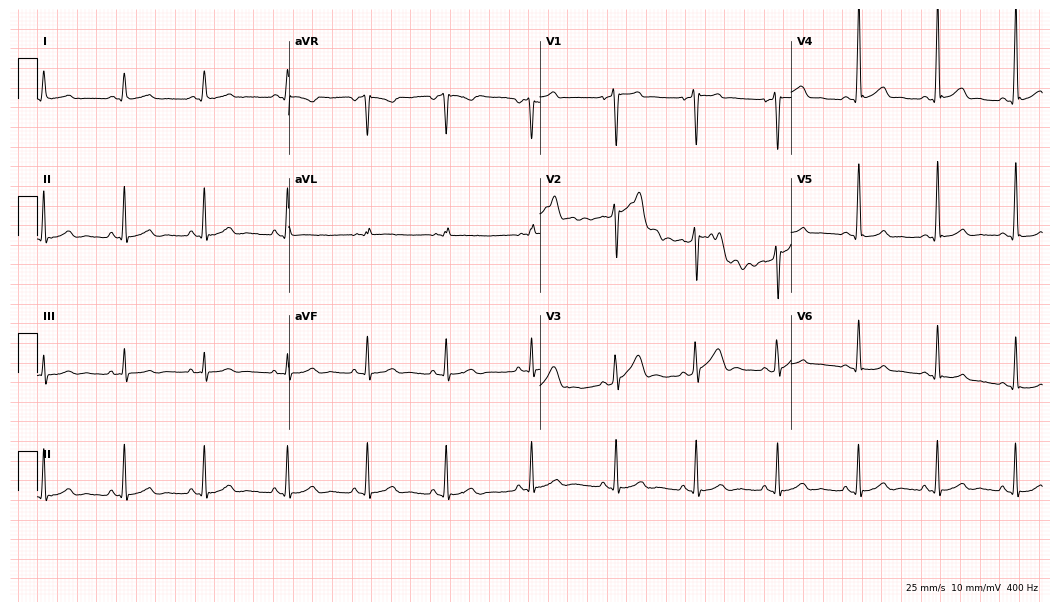
12-lead ECG from a 35-year-old male. No first-degree AV block, right bundle branch block, left bundle branch block, sinus bradycardia, atrial fibrillation or sinus tachycardia recorded for this tracing. Other findings, if any, are not listed.